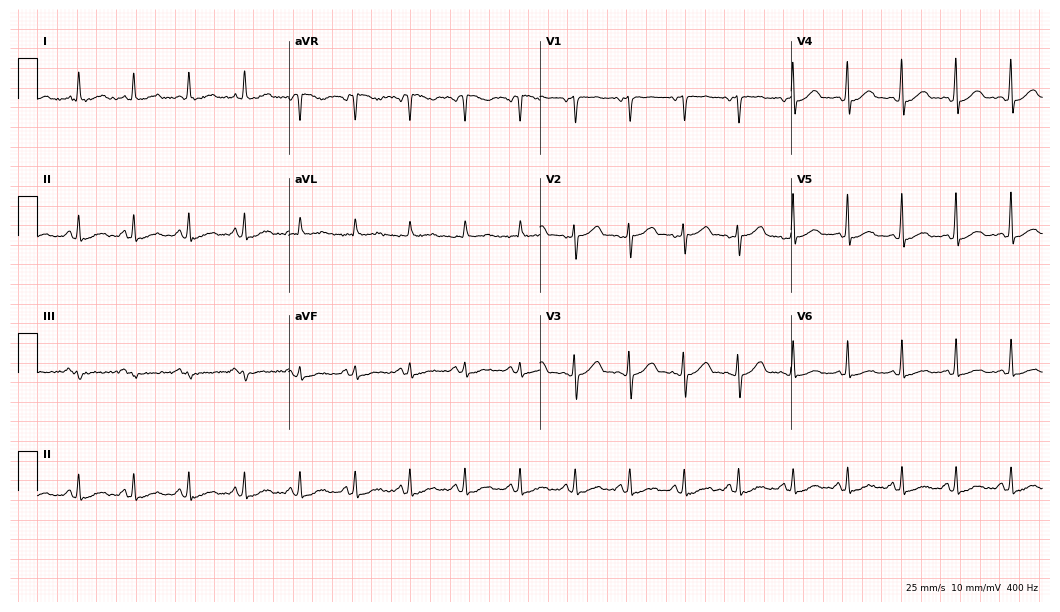
12-lead ECG from a woman, 33 years old (10.2-second recording at 400 Hz). Shows sinus tachycardia (a sinus rate of 100 beats per minute or more).